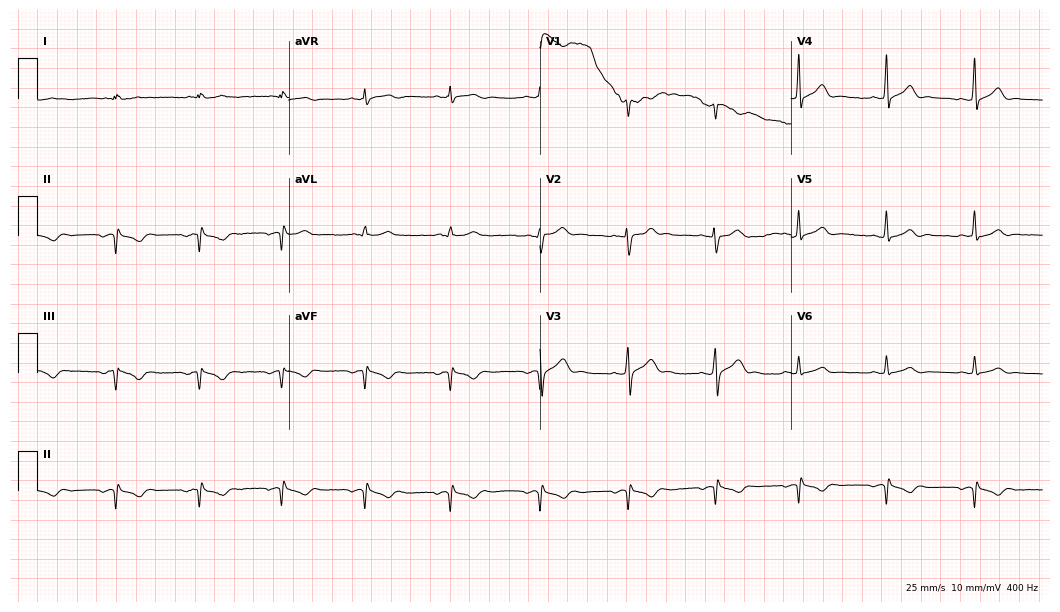
ECG — a 33-year-old male. Screened for six findings — first-degree AV block, right bundle branch block, left bundle branch block, sinus bradycardia, atrial fibrillation, sinus tachycardia — none is recorded.